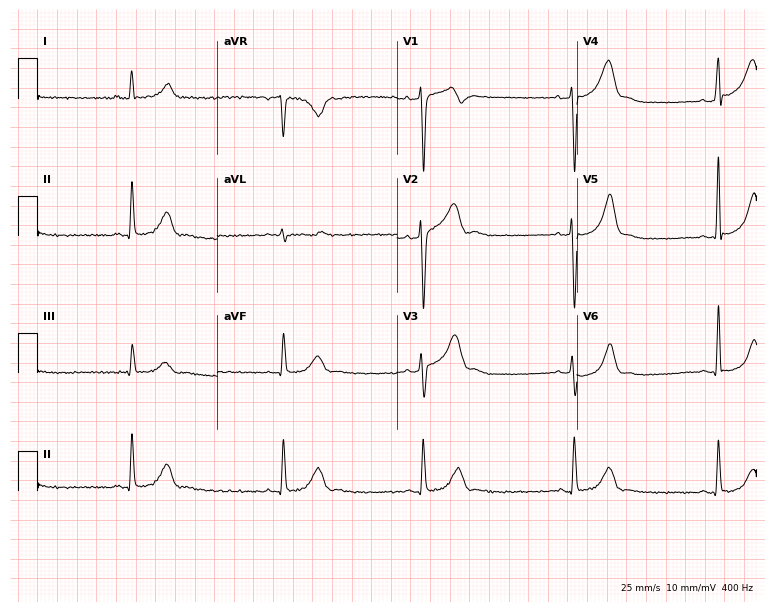
Standard 12-lead ECG recorded from a 43-year-old male patient. The tracing shows sinus bradycardia (a sinus rate of 50 beats per minute or less).